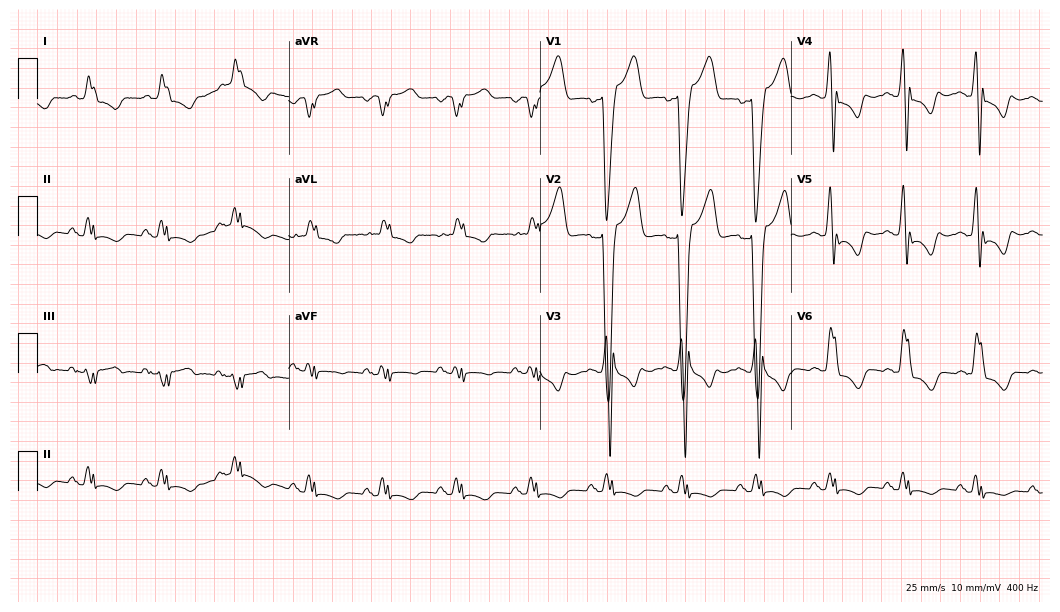
12-lead ECG (10.2-second recording at 400 Hz) from a 70-year-old male. Findings include left bundle branch block.